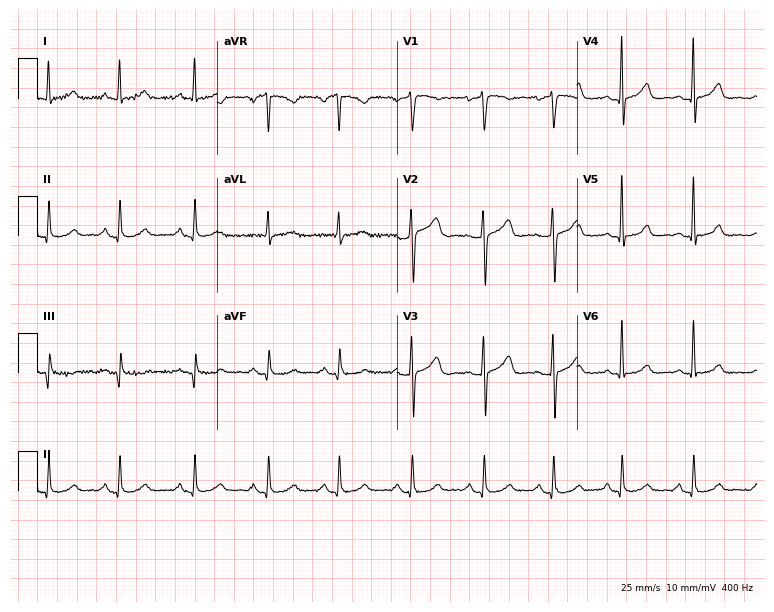
12-lead ECG (7.3-second recording at 400 Hz) from a 48-year-old female. Screened for six findings — first-degree AV block, right bundle branch block (RBBB), left bundle branch block (LBBB), sinus bradycardia, atrial fibrillation (AF), sinus tachycardia — none is recorded. Only these six findings were labelled.